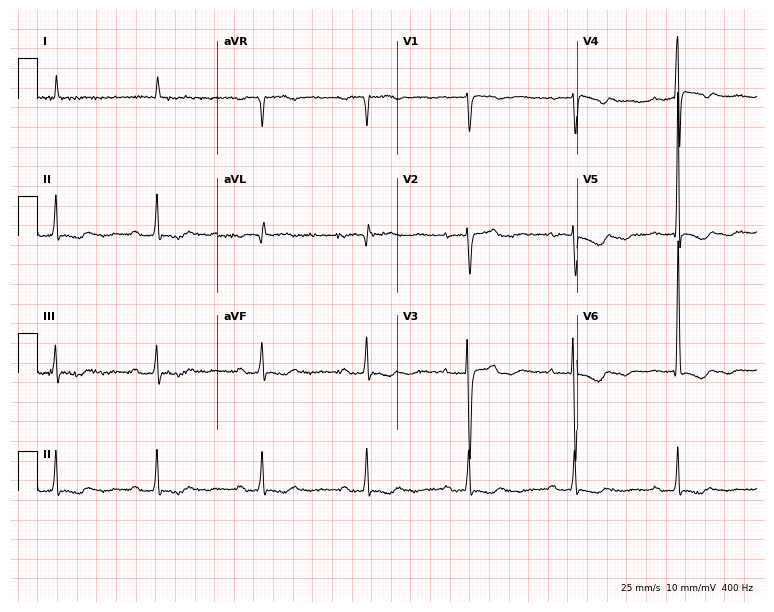
Electrocardiogram (7.3-second recording at 400 Hz), a female, 79 years old. Interpretation includes first-degree AV block.